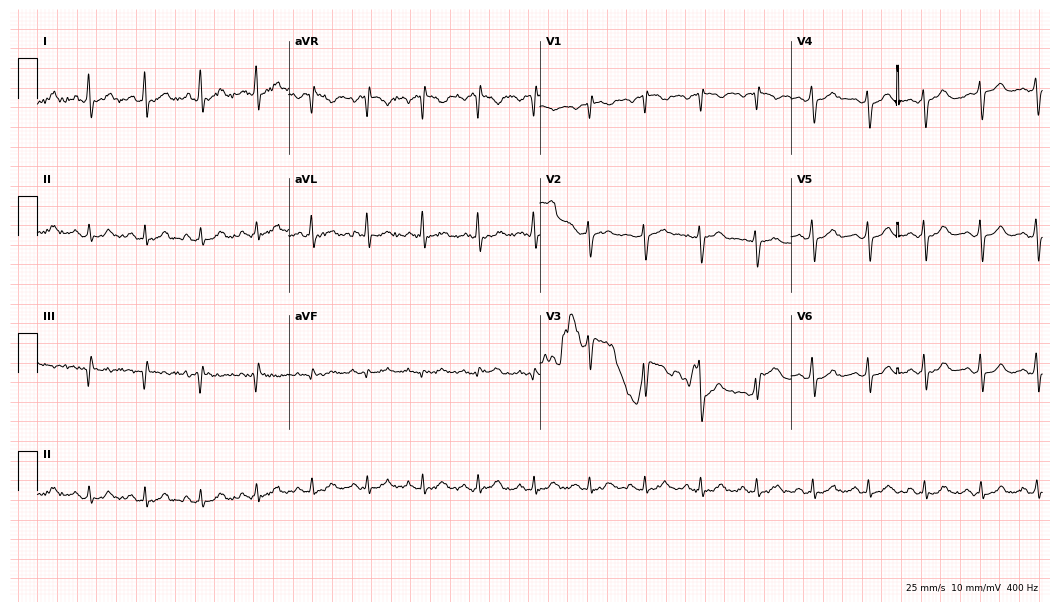
12-lead ECG from a 72-year-old man. Screened for six findings — first-degree AV block, right bundle branch block, left bundle branch block, sinus bradycardia, atrial fibrillation, sinus tachycardia — none is recorded.